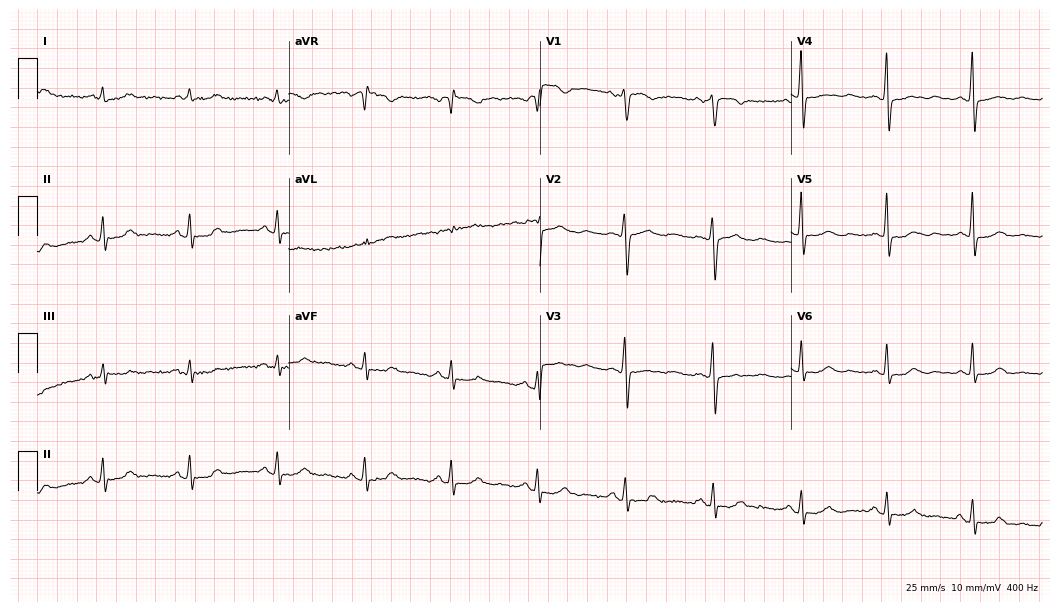
12-lead ECG from a 58-year-old female patient (10.2-second recording at 400 Hz). No first-degree AV block, right bundle branch block (RBBB), left bundle branch block (LBBB), sinus bradycardia, atrial fibrillation (AF) or sinus tachycardia recorded for this tracing. Other findings, if any, are not listed.